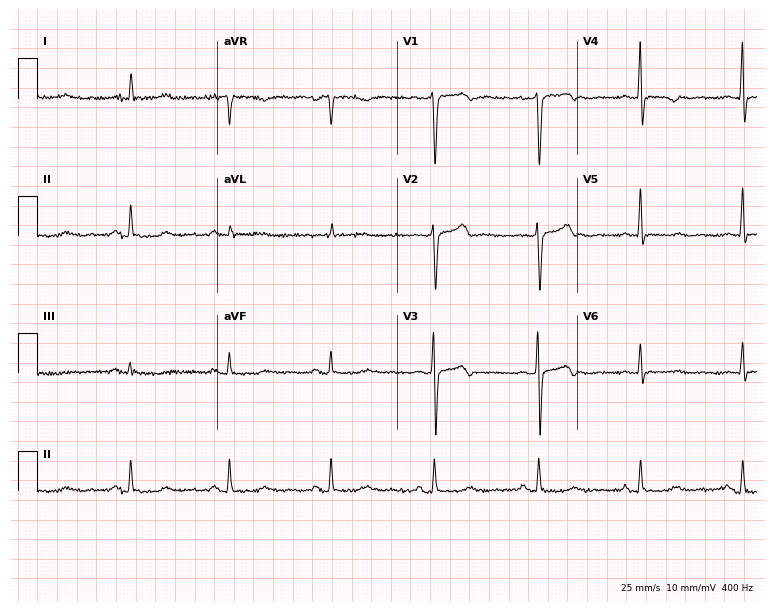
Standard 12-lead ECG recorded from a woman, 49 years old. None of these six findings is recorded: first-degree AV block, right bundle branch block (RBBB), left bundle branch block (LBBB), sinus bradycardia, atrial fibrillation (AF), sinus tachycardia.